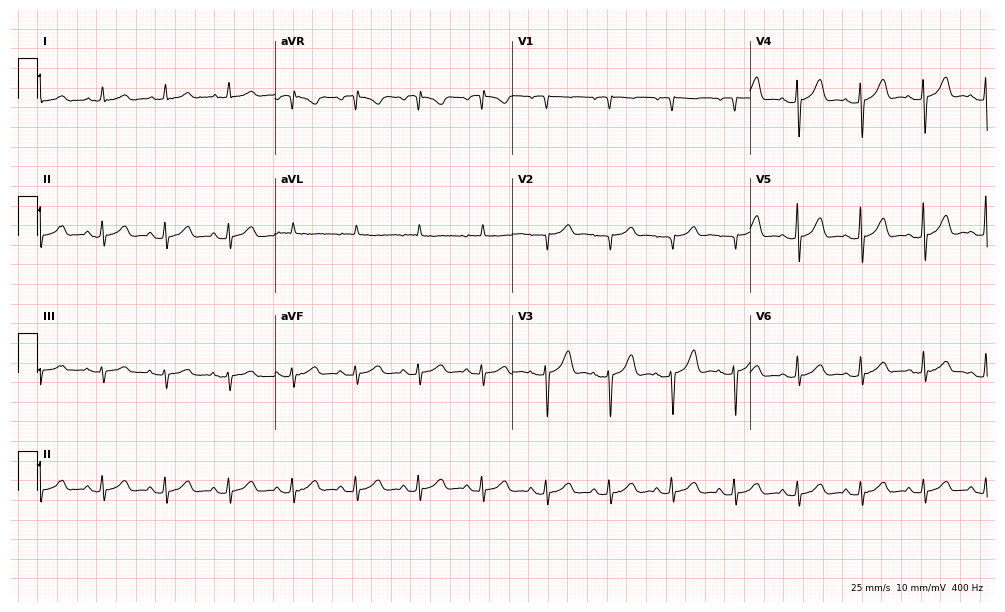
Electrocardiogram (9.7-second recording at 400 Hz), a female, 86 years old. Of the six screened findings (first-degree AV block, right bundle branch block (RBBB), left bundle branch block (LBBB), sinus bradycardia, atrial fibrillation (AF), sinus tachycardia), none is recorded. Other findings, if any, are not listed.